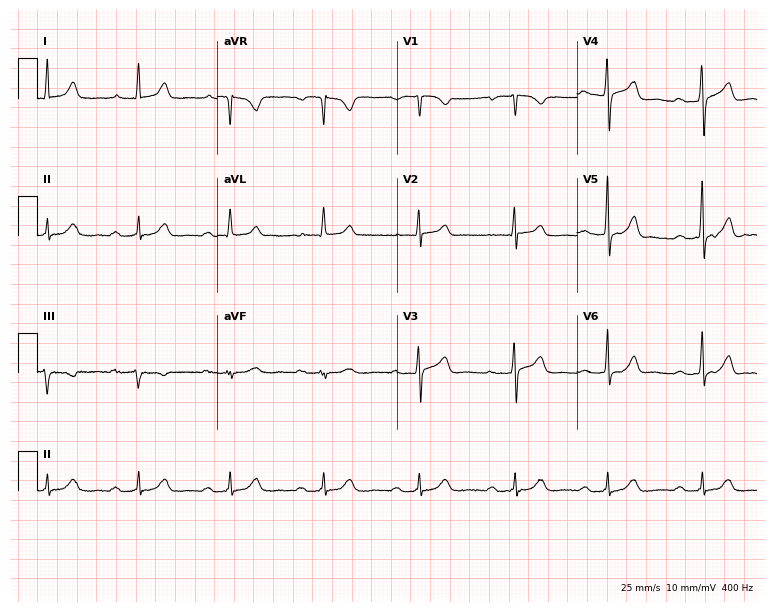
12-lead ECG (7.3-second recording at 400 Hz) from an 80-year-old man. Labelled as a normal ECG.